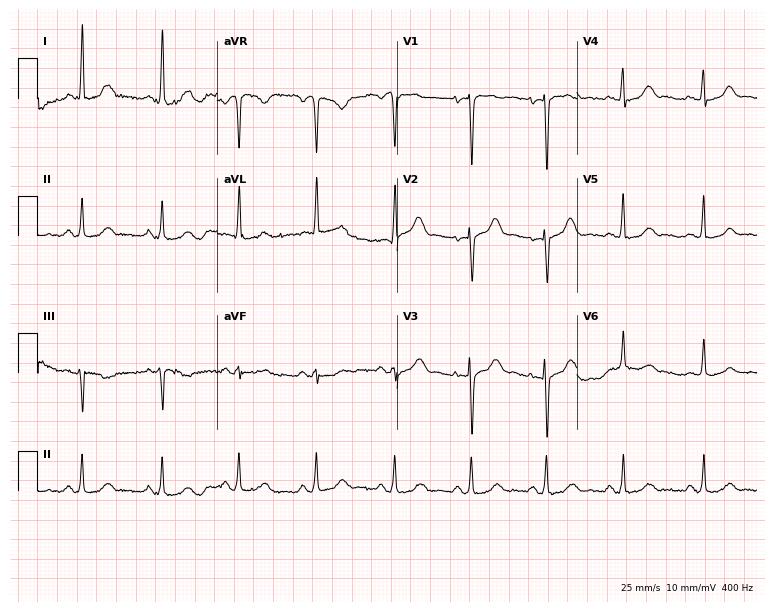
Electrocardiogram (7.3-second recording at 400 Hz), a 40-year-old woman. Overall reading on record: normal ECG.